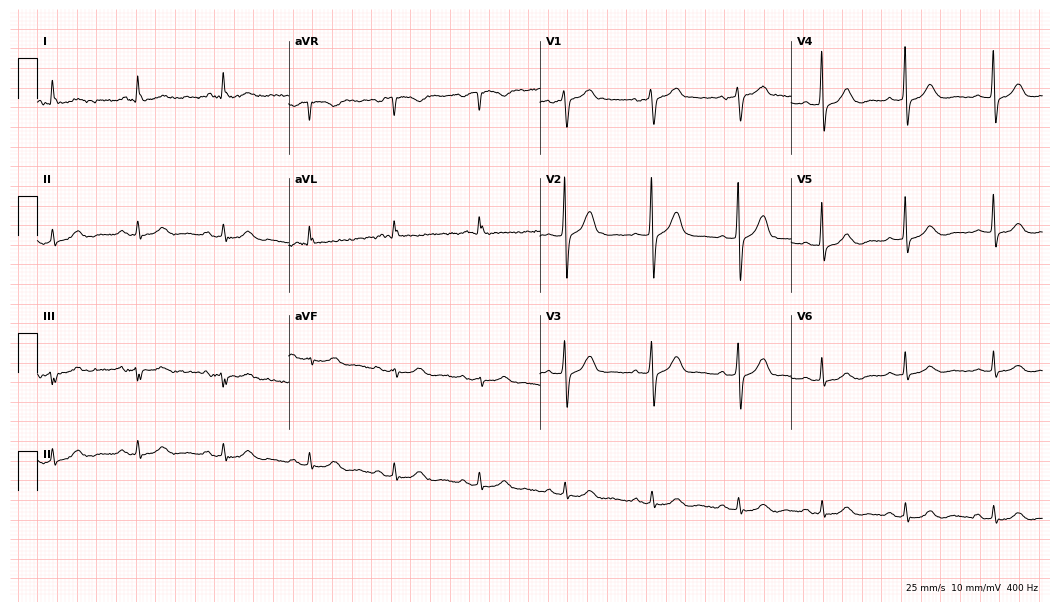
Standard 12-lead ECG recorded from a male, 74 years old. None of these six findings is recorded: first-degree AV block, right bundle branch block, left bundle branch block, sinus bradycardia, atrial fibrillation, sinus tachycardia. Findings outside these six are not listed.